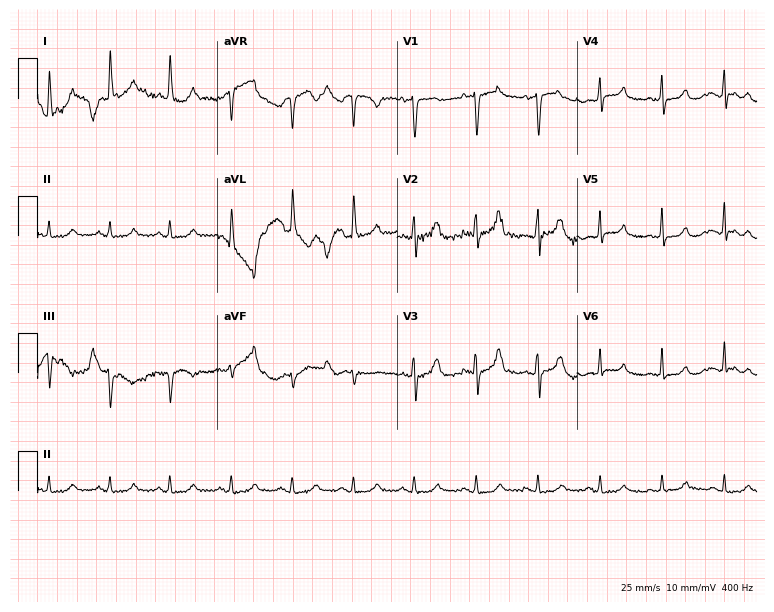
Electrocardiogram (7.3-second recording at 400 Hz), an 84-year-old female patient. Overall reading on record: normal ECG.